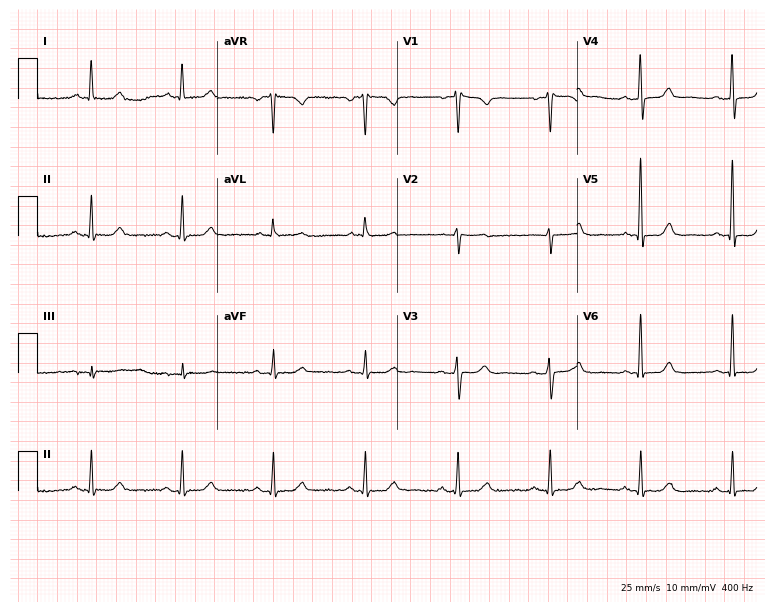
12-lead ECG from a female patient, 61 years old. Recorded interpretation: within normal limits.